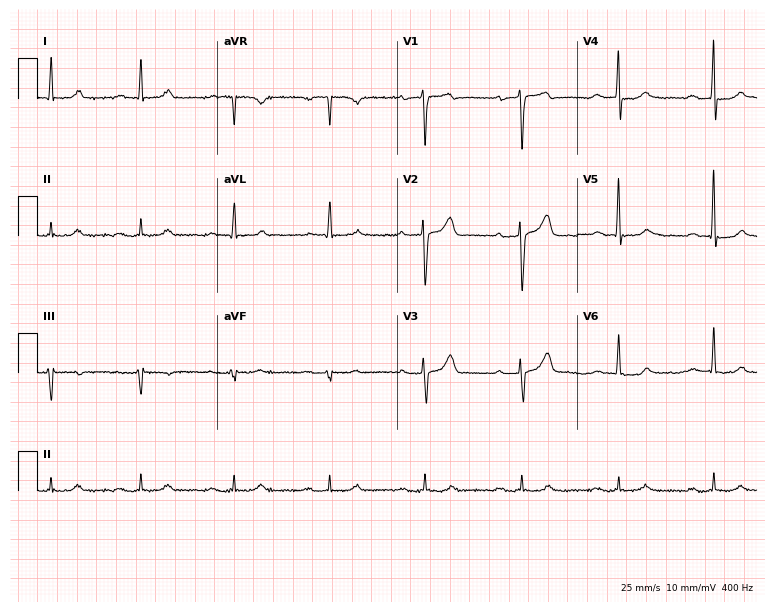
12-lead ECG from a 67-year-old man. Shows first-degree AV block.